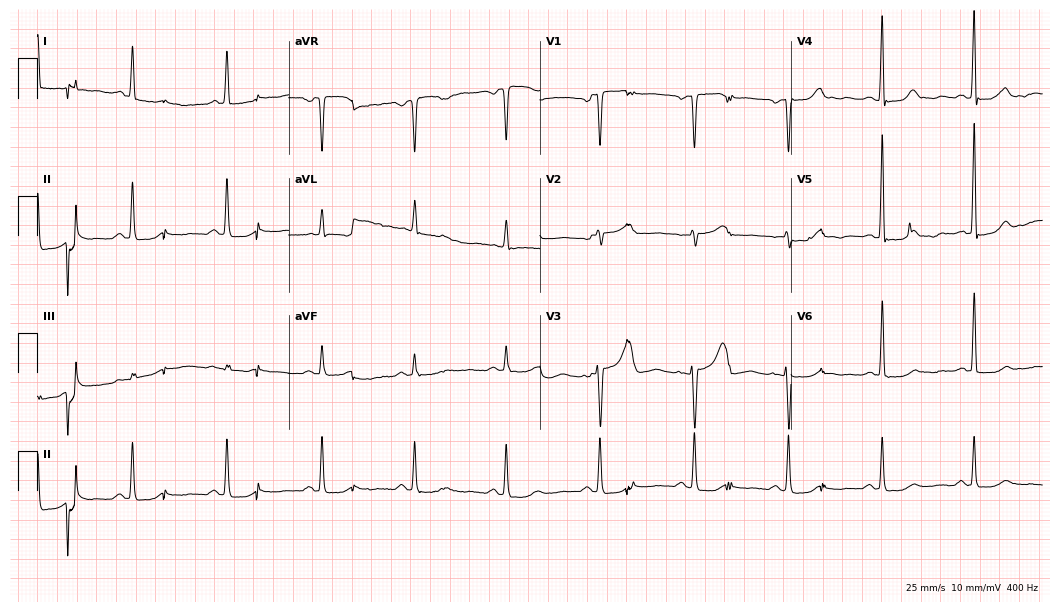
Standard 12-lead ECG recorded from a woman, 63 years old (10.2-second recording at 400 Hz). None of these six findings is recorded: first-degree AV block, right bundle branch block, left bundle branch block, sinus bradycardia, atrial fibrillation, sinus tachycardia.